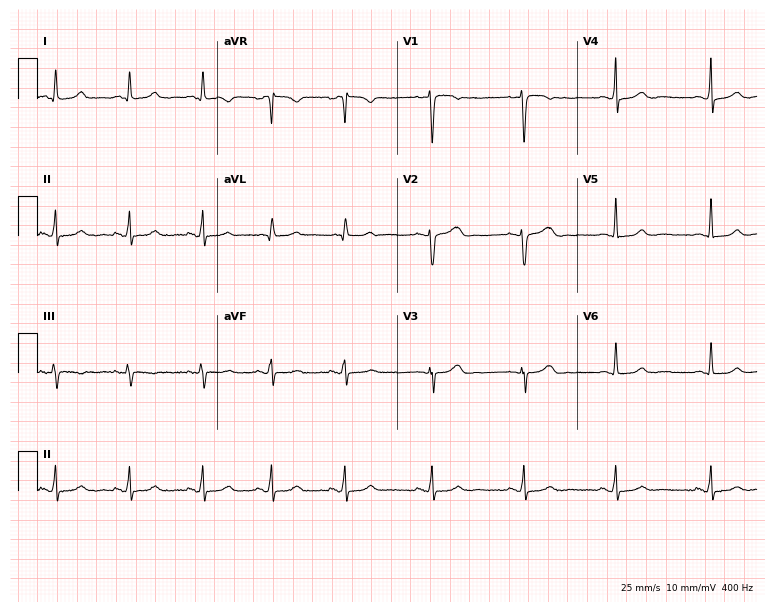
12-lead ECG from a 33-year-old woman. Screened for six findings — first-degree AV block, right bundle branch block (RBBB), left bundle branch block (LBBB), sinus bradycardia, atrial fibrillation (AF), sinus tachycardia — none is recorded. Only these six findings were labelled.